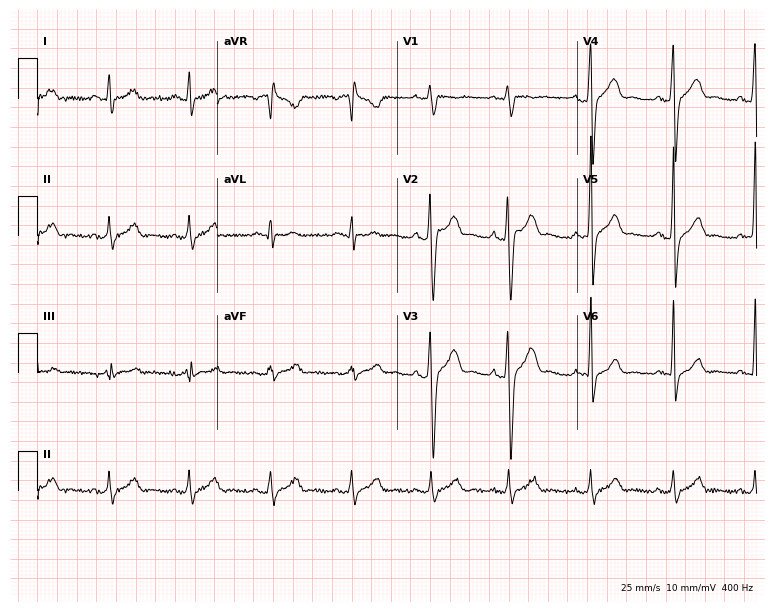
12-lead ECG from a male, 30 years old. Screened for six findings — first-degree AV block, right bundle branch block, left bundle branch block, sinus bradycardia, atrial fibrillation, sinus tachycardia — none is recorded.